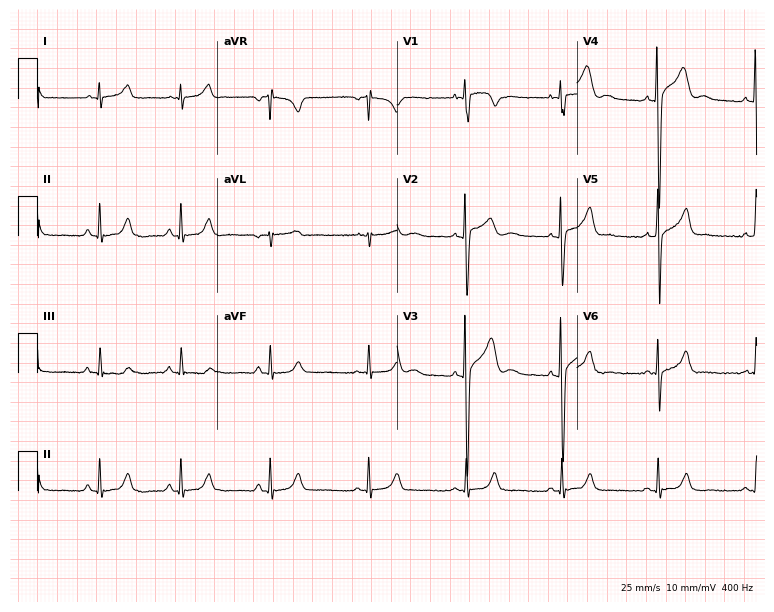
Resting 12-lead electrocardiogram (7.3-second recording at 400 Hz). Patient: an 18-year-old male. None of these six findings is recorded: first-degree AV block, right bundle branch block (RBBB), left bundle branch block (LBBB), sinus bradycardia, atrial fibrillation (AF), sinus tachycardia.